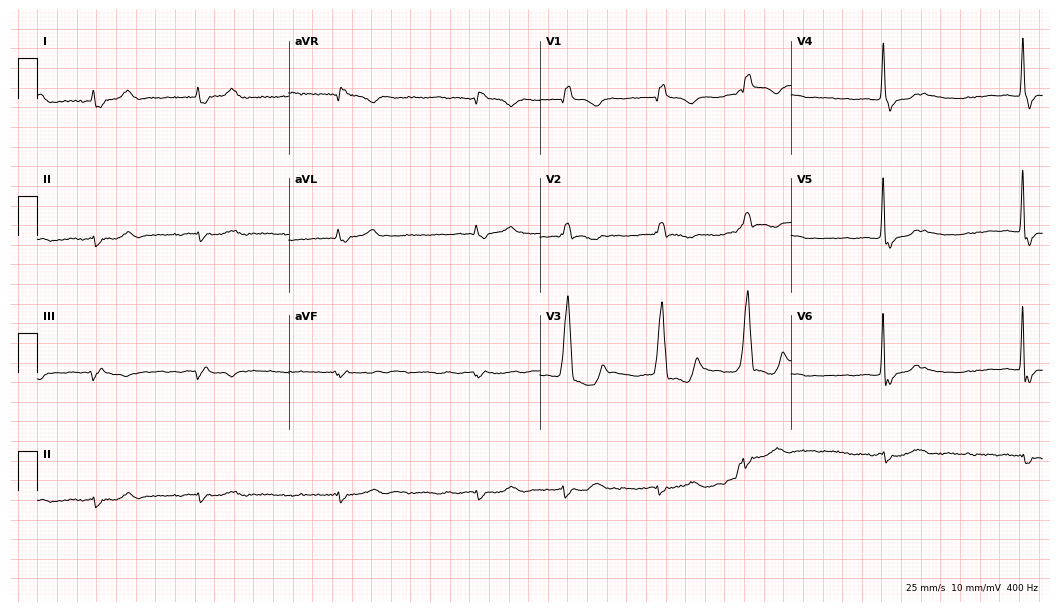
Electrocardiogram, a 73-year-old male. Interpretation includes right bundle branch block (RBBB), atrial fibrillation (AF).